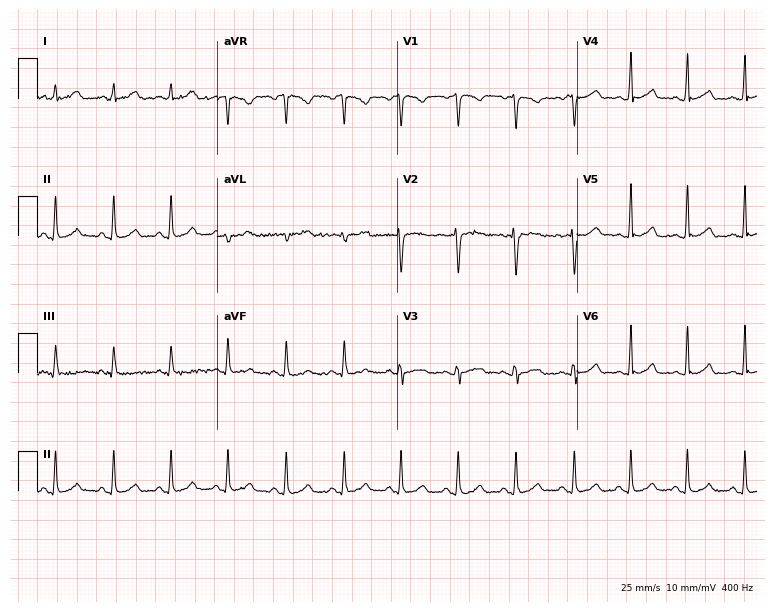
ECG (7.3-second recording at 400 Hz) — a 19-year-old female. Findings include sinus tachycardia (a sinus rate of 100 beats per minute or more).